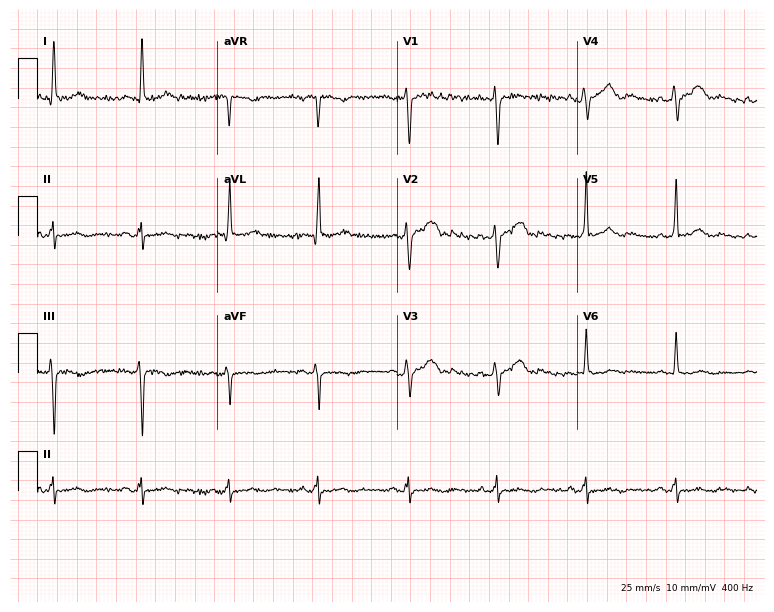
Standard 12-lead ECG recorded from a male patient, 41 years old (7.3-second recording at 400 Hz). None of these six findings is recorded: first-degree AV block, right bundle branch block (RBBB), left bundle branch block (LBBB), sinus bradycardia, atrial fibrillation (AF), sinus tachycardia. Findings outside these six are not listed.